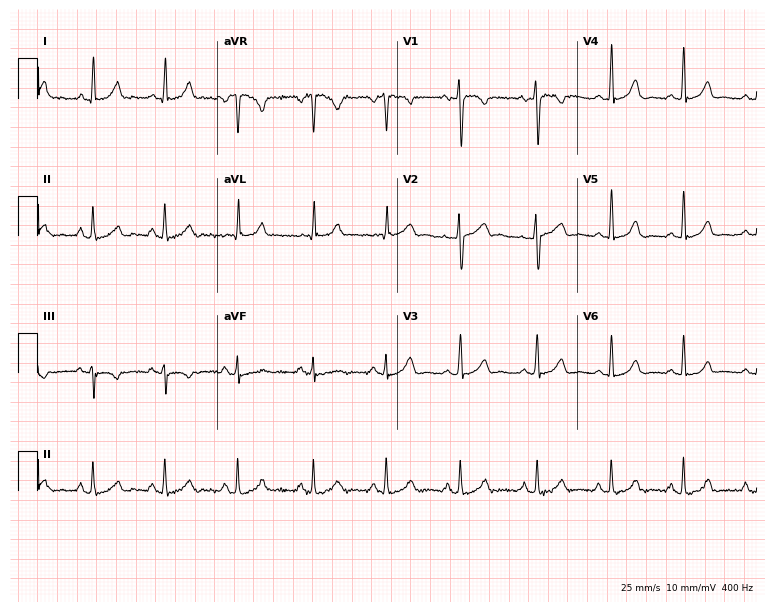
12-lead ECG (7.3-second recording at 400 Hz) from a female patient, 30 years old. Screened for six findings — first-degree AV block, right bundle branch block, left bundle branch block, sinus bradycardia, atrial fibrillation, sinus tachycardia — none is recorded.